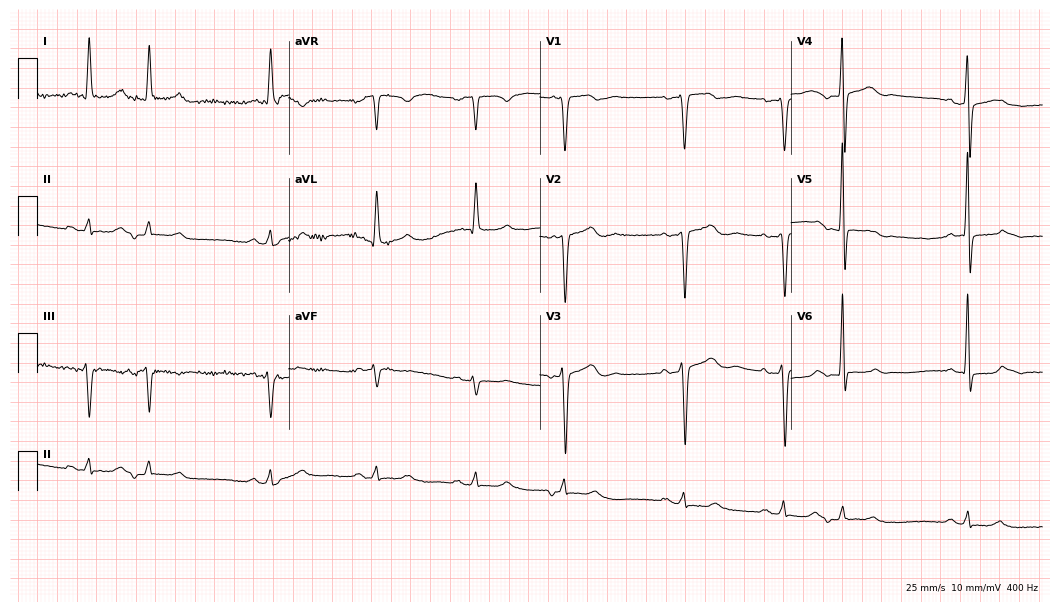
Standard 12-lead ECG recorded from a 75-year-old man. None of these six findings is recorded: first-degree AV block, right bundle branch block, left bundle branch block, sinus bradycardia, atrial fibrillation, sinus tachycardia.